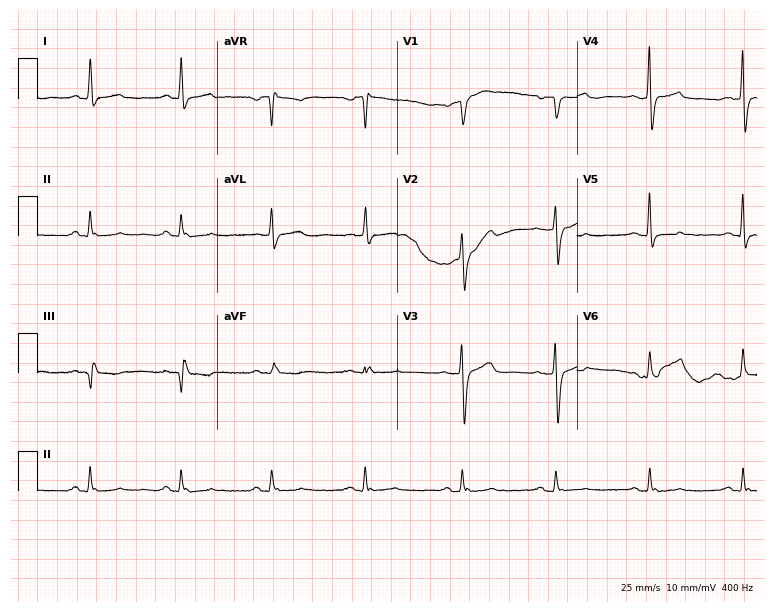
12-lead ECG from a 62-year-old female (7.3-second recording at 400 Hz). No first-degree AV block, right bundle branch block, left bundle branch block, sinus bradycardia, atrial fibrillation or sinus tachycardia recorded for this tracing.